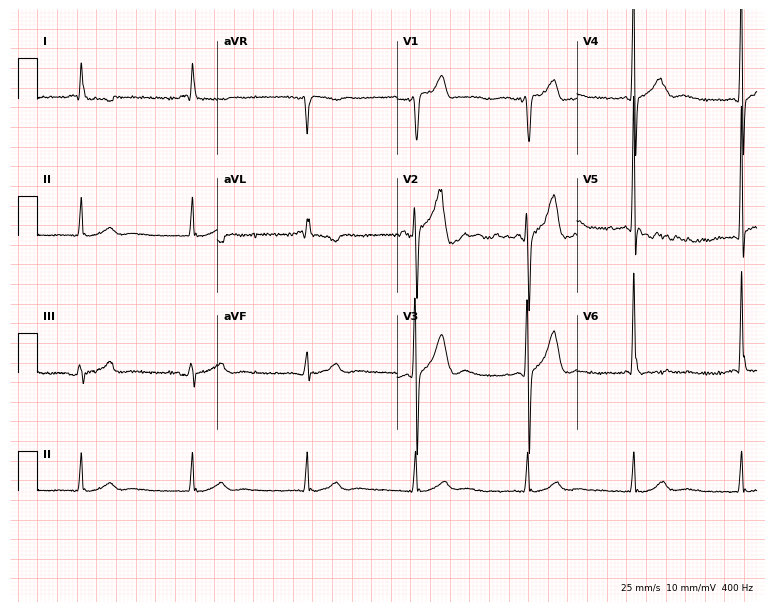
12-lead ECG from a 56-year-old male patient. No first-degree AV block, right bundle branch block, left bundle branch block, sinus bradycardia, atrial fibrillation or sinus tachycardia recorded for this tracing.